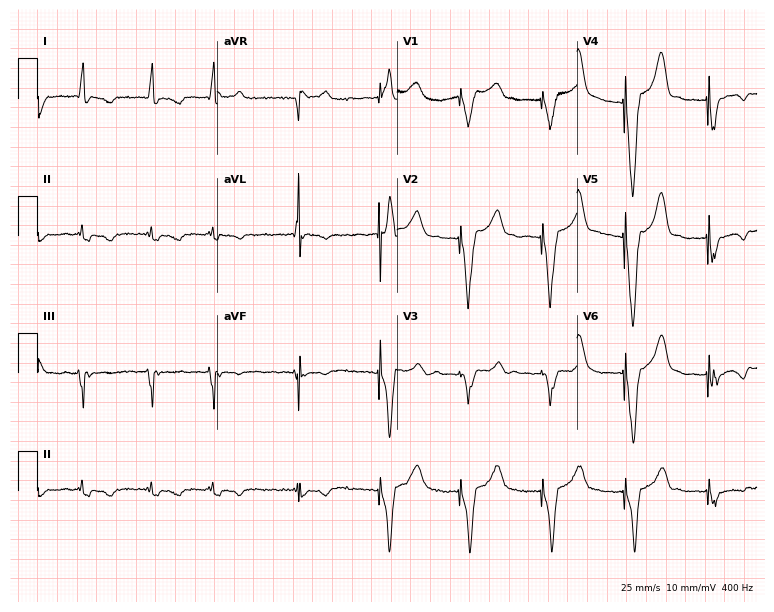
12-lead ECG from a woman, 69 years old. Screened for six findings — first-degree AV block, right bundle branch block, left bundle branch block, sinus bradycardia, atrial fibrillation, sinus tachycardia — none is recorded.